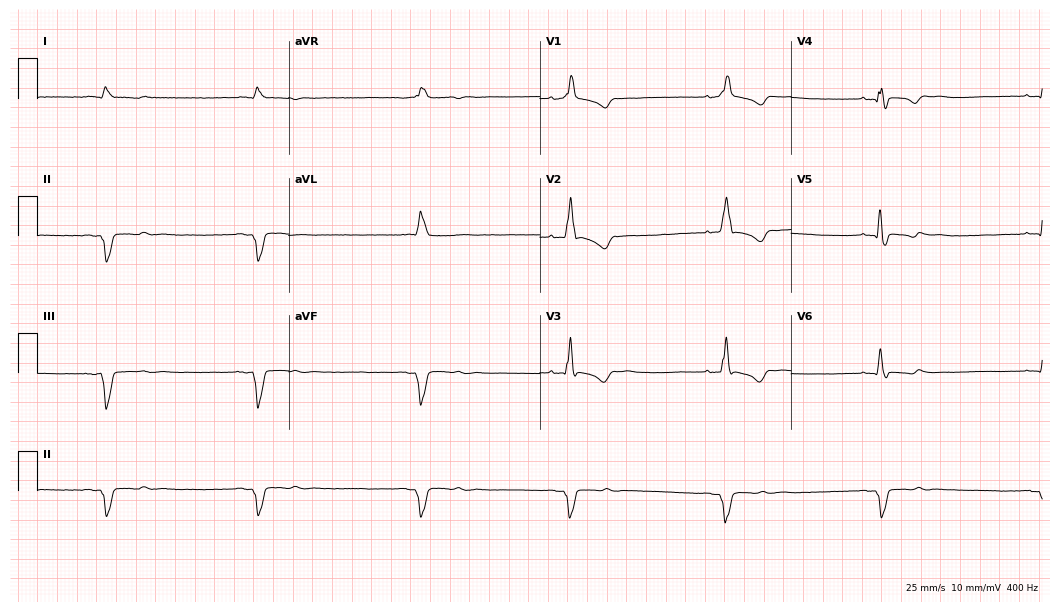
12-lead ECG from a man, 56 years old. Findings include right bundle branch block.